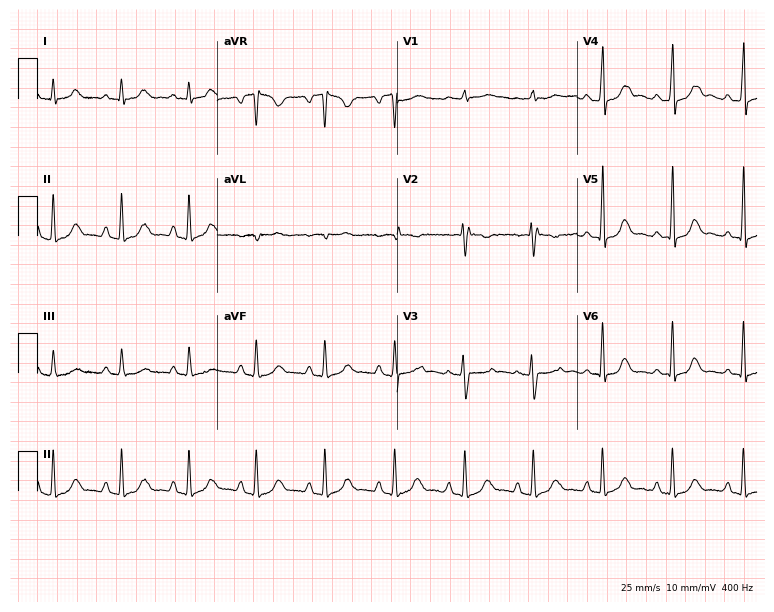
Electrocardiogram, a 37-year-old woman. Overall reading on record: normal ECG.